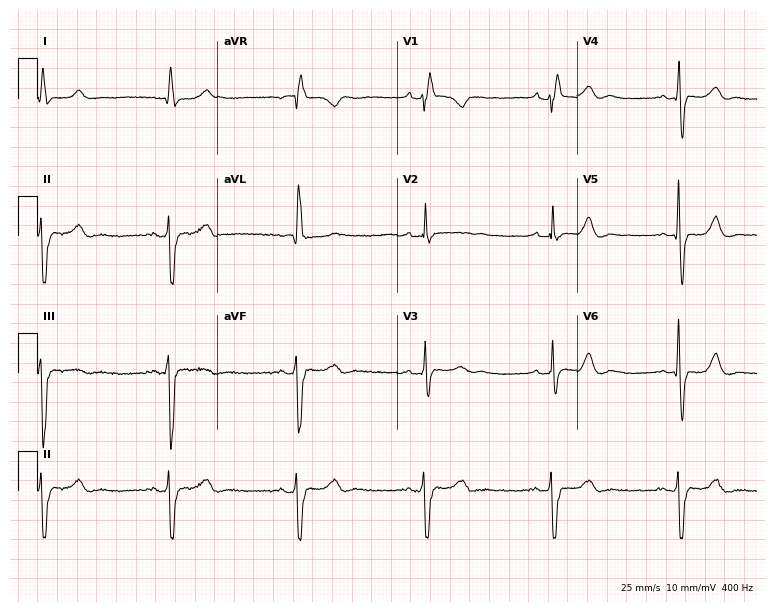
12-lead ECG from a female, 76 years old. Shows right bundle branch block (RBBB).